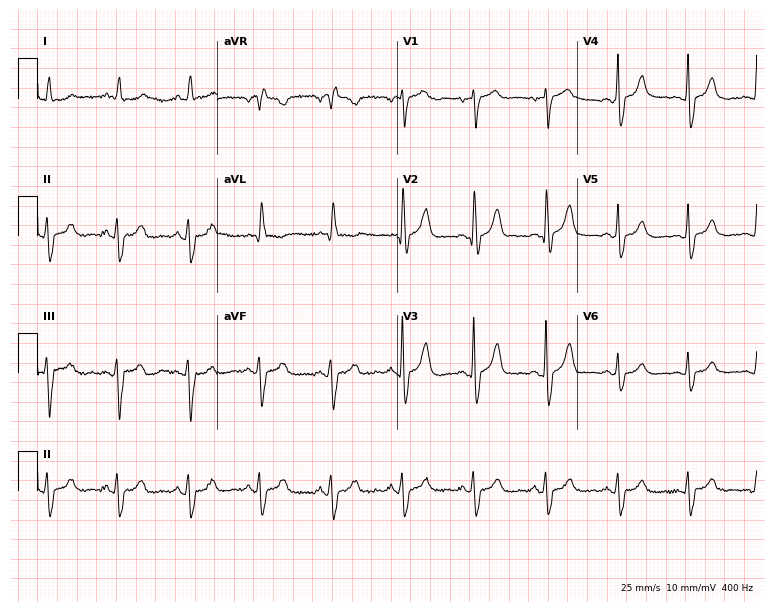
Electrocardiogram, a 75-year-old woman. Of the six screened findings (first-degree AV block, right bundle branch block, left bundle branch block, sinus bradycardia, atrial fibrillation, sinus tachycardia), none is recorded. Only these six findings were labelled.